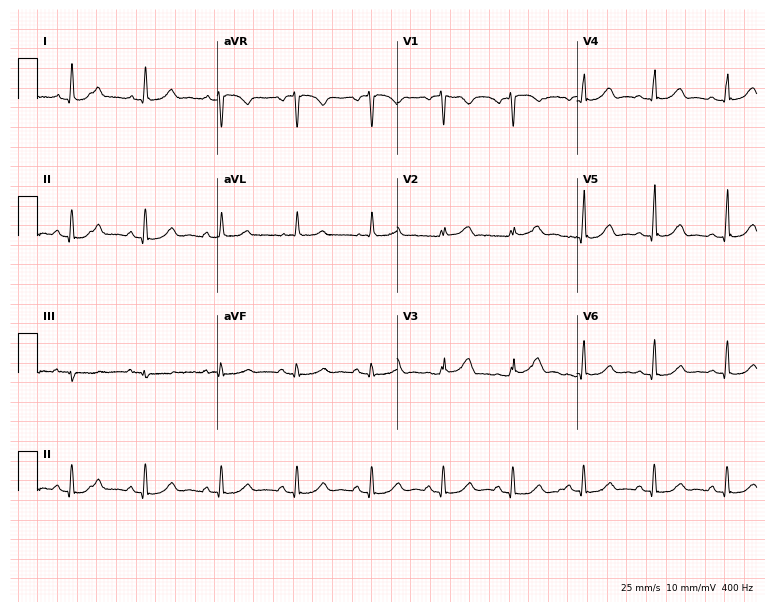
ECG — a female patient, 55 years old. Labelled as a normal ECG.